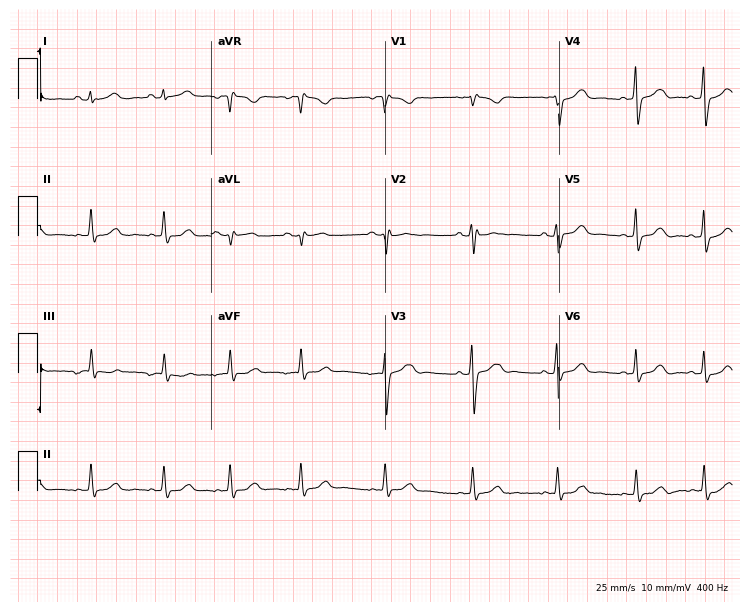
Resting 12-lead electrocardiogram (7.1-second recording at 400 Hz). Patient: a woman, 30 years old. None of these six findings is recorded: first-degree AV block, right bundle branch block (RBBB), left bundle branch block (LBBB), sinus bradycardia, atrial fibrillation (AF), sinus tachycardia. Other findings, if any, are not listed.